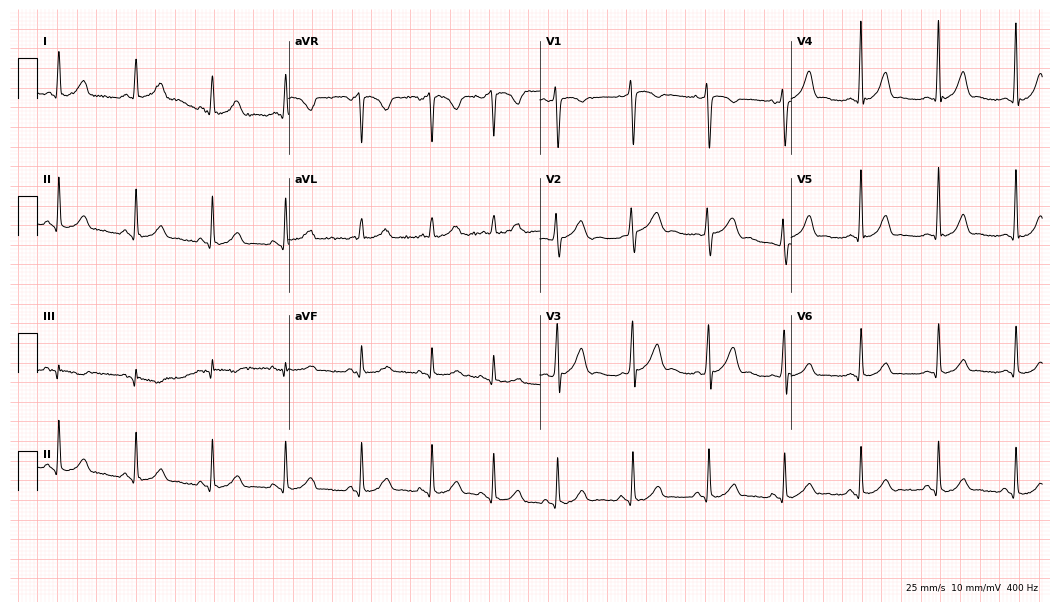
Resting 12-lead electrocardiogram (10.2-second recording at 400 Hz). Patient: a female, 17 years old. Read as a normal ECG.